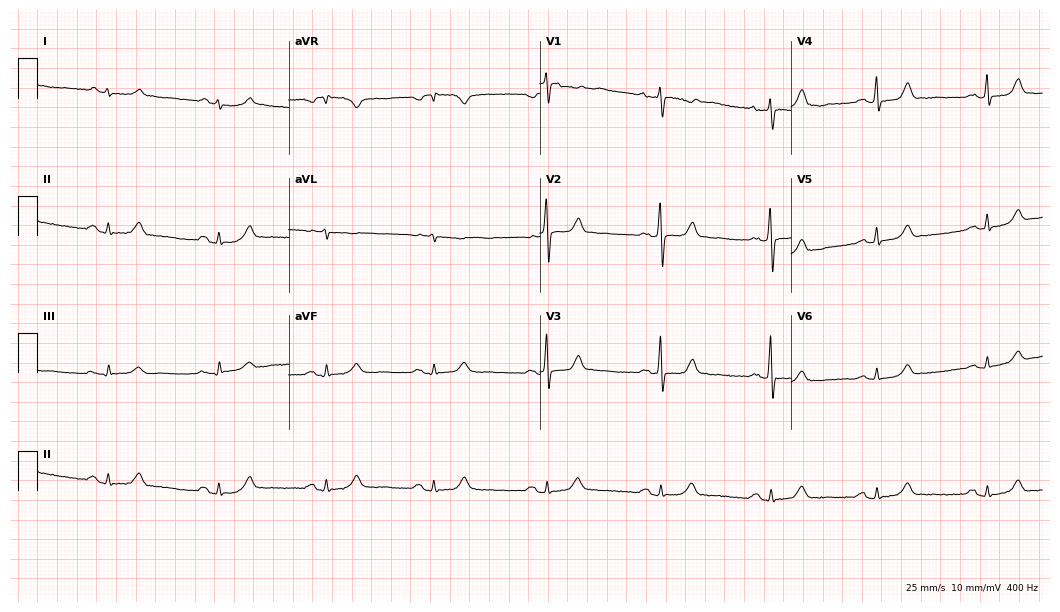
Standard 12-lead ECG recorded from a woman, 68 years old. None of these six findings is recorded: first-degree AV block, right bundle branch block, left bundle branch block, sinus bradycardia, atrial fibrillation, sinus tachycardia. Only these six findings were labelled.